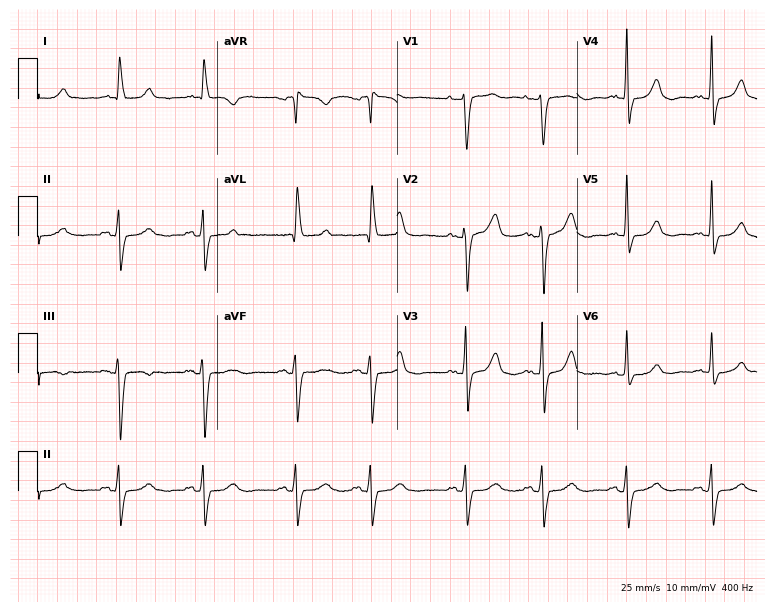
Resting 12-lead electrocardiogram. Patient: a 79-year-old female. None of these six findings is recorded: first-degree AV block, right bundle branch block, left bundle branch block, sinus bradycardia, atrial fibrillation, sinus tachycardia. Findings outside these six are not listed.